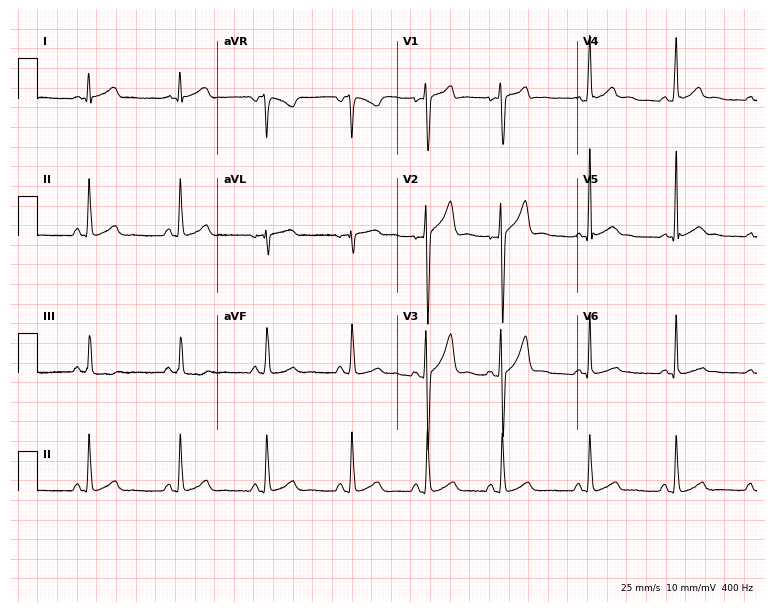
ECG (7.3-second recording at 400 Hz) — a 20-year-old male. Labelled as a normal ECG.